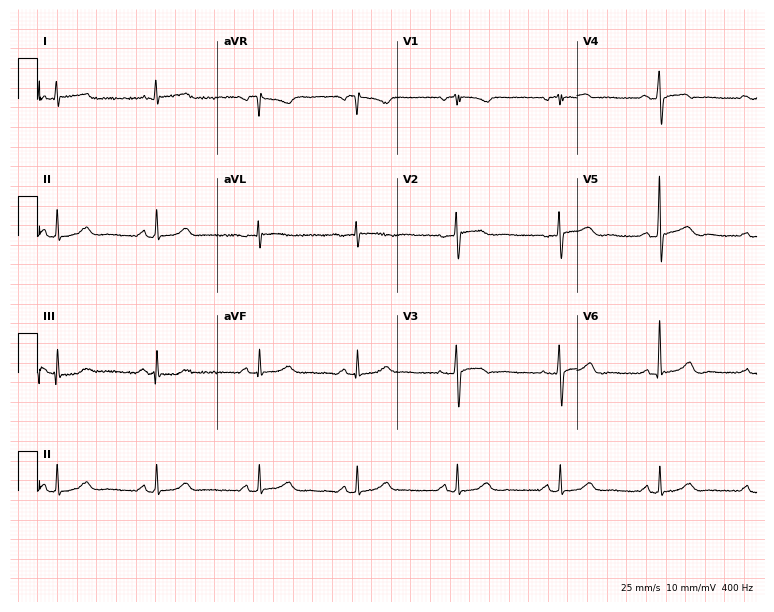
Resting 12-lead electrocardiogram (7.3-second recording at 400 Hz). Patient: a 61-year-old woman. Read as a normal ECG.